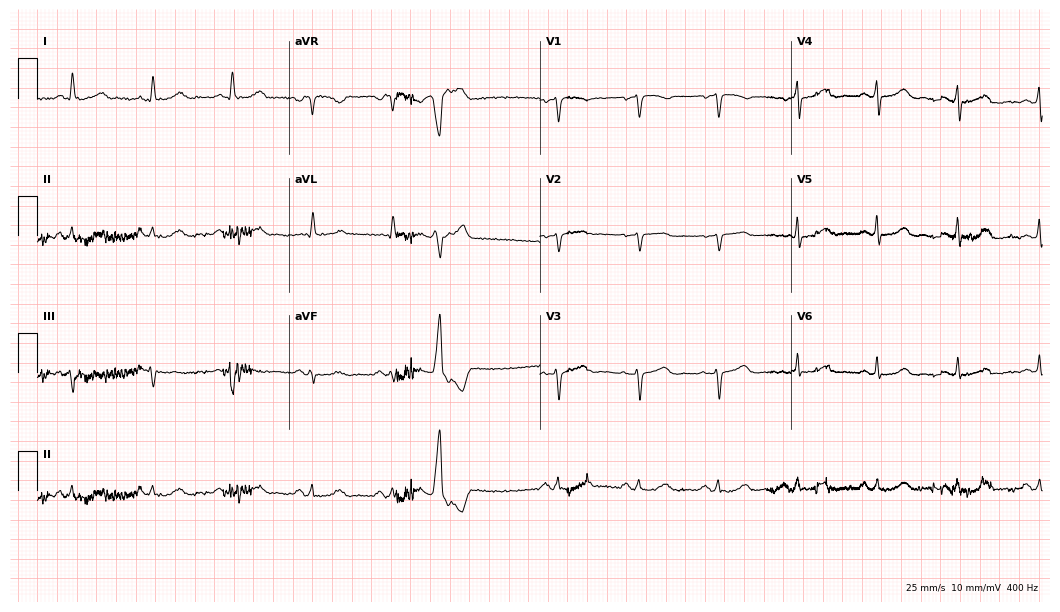
12-lead ECG from a 62-year-old female patient (10.2-second recording at 400 Hz). No first-degree AV block, right bundle branch block, left bundle branch block, sinus bradycardia, atrial fibrillation or sinus tachycardia recorded for this tracing.